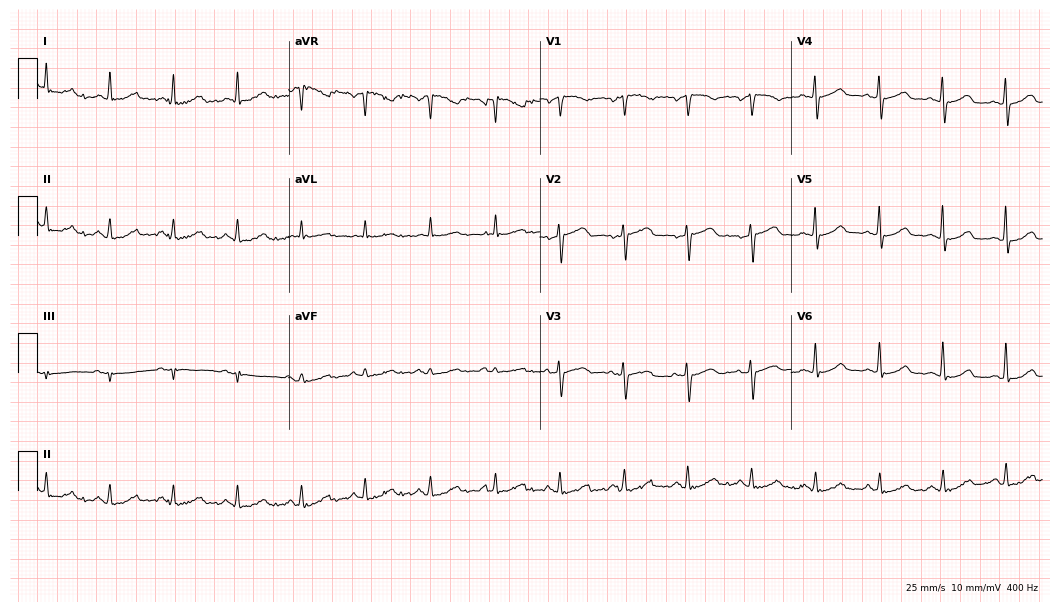
Resting 12-lead electrocardiogram. Patient: a 61-year-old female. None of these six findings is recorded: first-degree AV block, right bundle branch block, left bundle branch block, sinus bradycardia, atrial fibrillation, sinus tachycardia. Other findings, if any, are not listed.